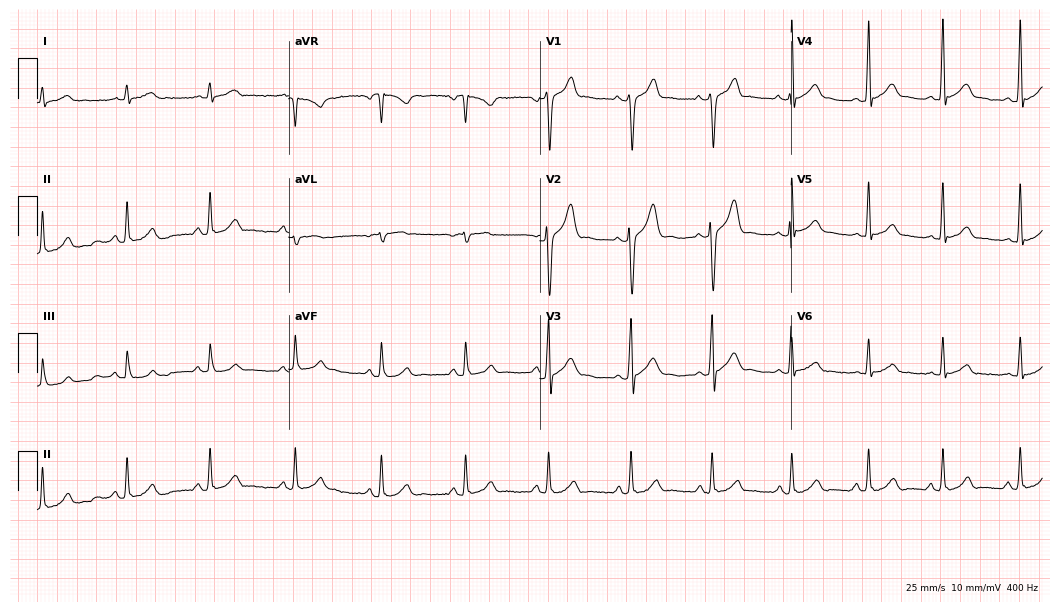
Resting 12-lead electrocardiogram. Patient: a 36-year-old male. None of these six findings is recorded: first-degree AV block, right bundle branch block, left bundle branch block, sinus bradycardia, atrial fibrillation, sinus tachycardia.